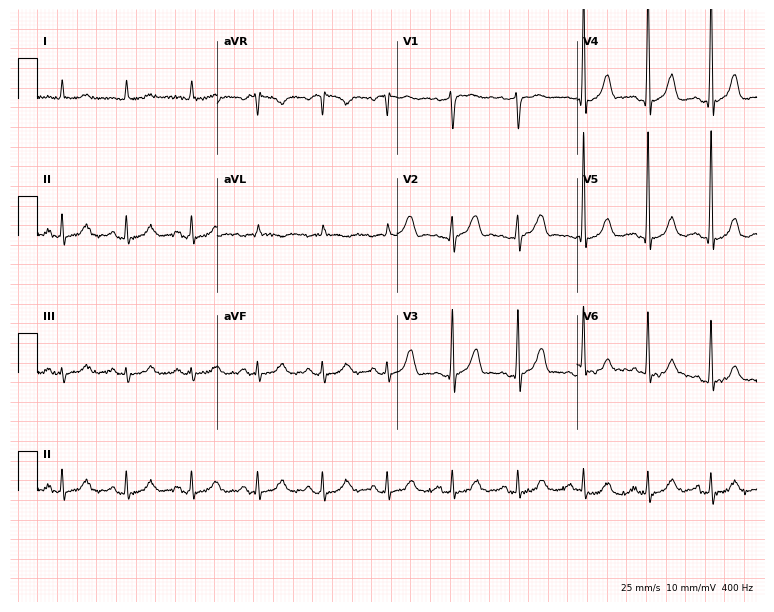
ECG (7.3-second recording at 400 Hz) — a male patient, 75 years old. Labelled as a normal ECG.